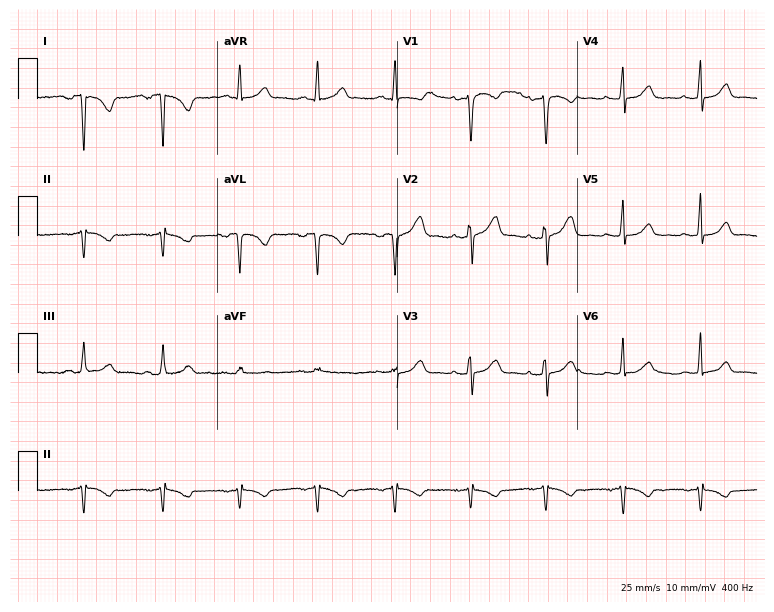
12-lead ECG (7.3-second recording at 400 Hz) from a 42-year-old female. Screened for six findings — first-degree AV block, right bundle branch block (RBBB), left bundle branch block (LBBB), sinus bradycardia, atrial fibrillation (AF), sinus tachycardia — none is recorded.